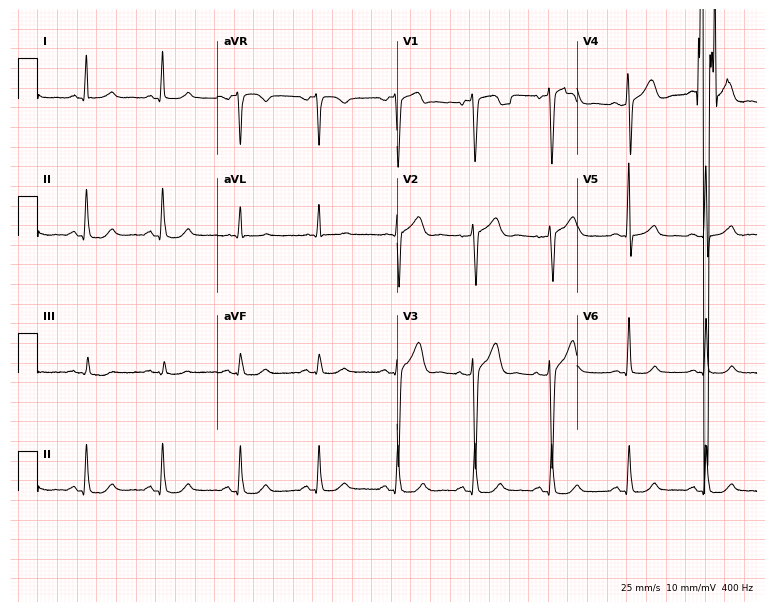
Standard 12-lead ECG recorded from a male patient, 47 years old. Read as a normal ECG.